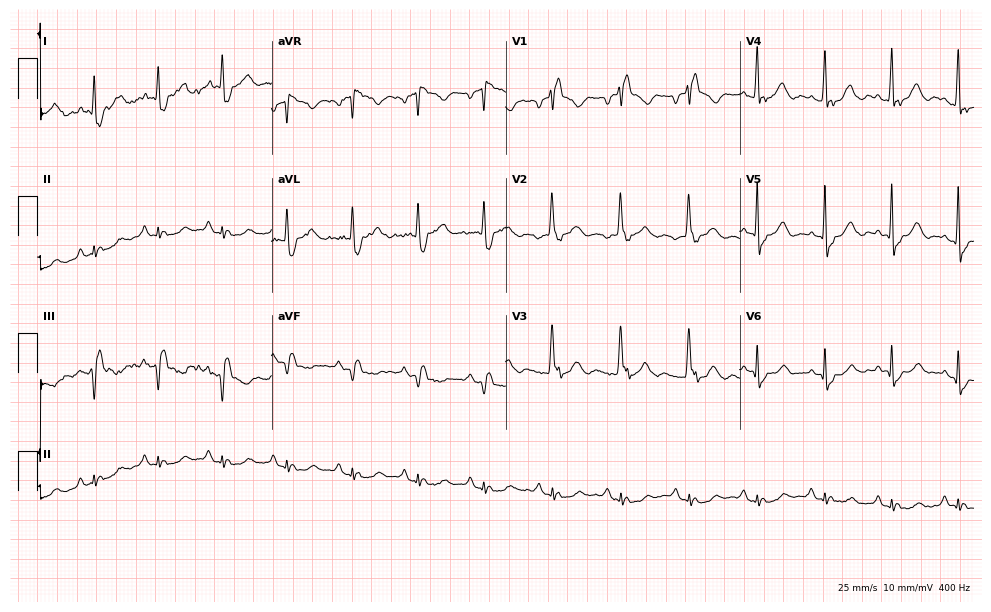
12-lead ECG from a 55-year-old man (9.5-second recording at 400 Hz). Shows right bundle branch block.